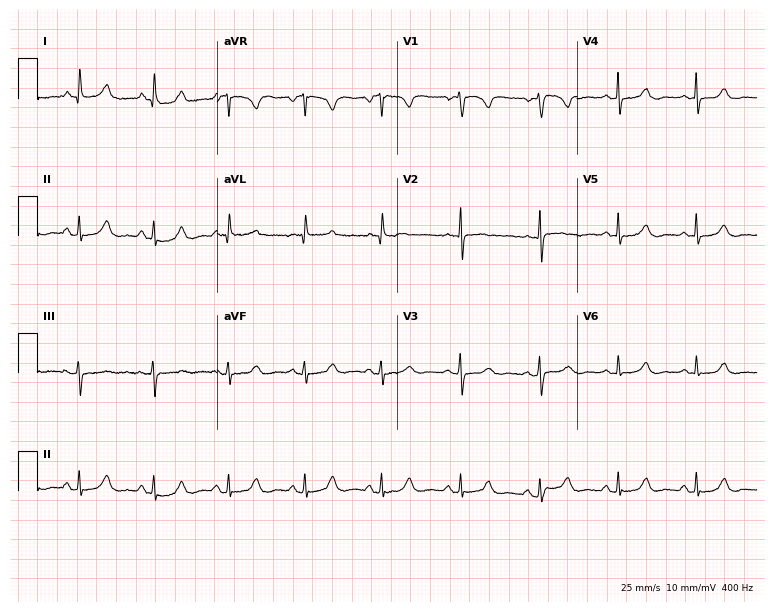
12-lead ECG (7.3-second recording at 400 Hz) from a female patient, 67 years old. Labelled as a normal ECG.